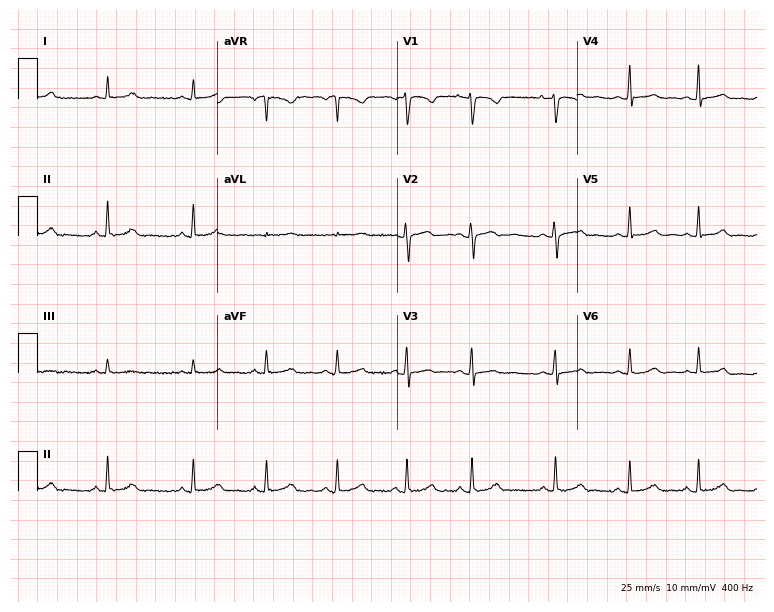
Resting 12-lead electrocardiogram (7.3-second recording at 400 Hz). Patient: a 17-year-old female. Read as a normal ECG.